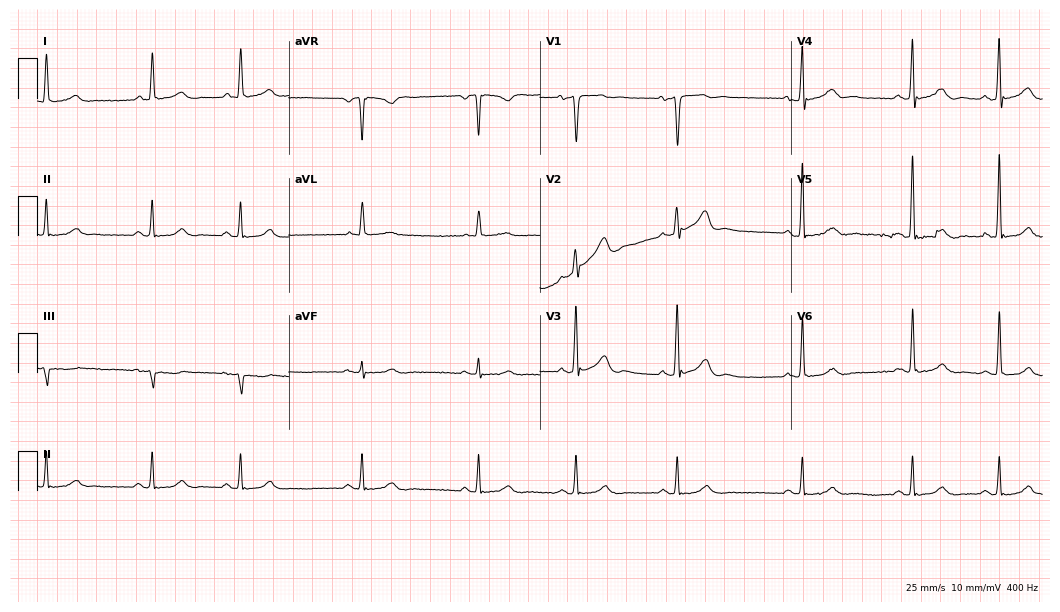
Standard 12-lead ECG recorded from a 65-year-old male. Read as a normal ECG.